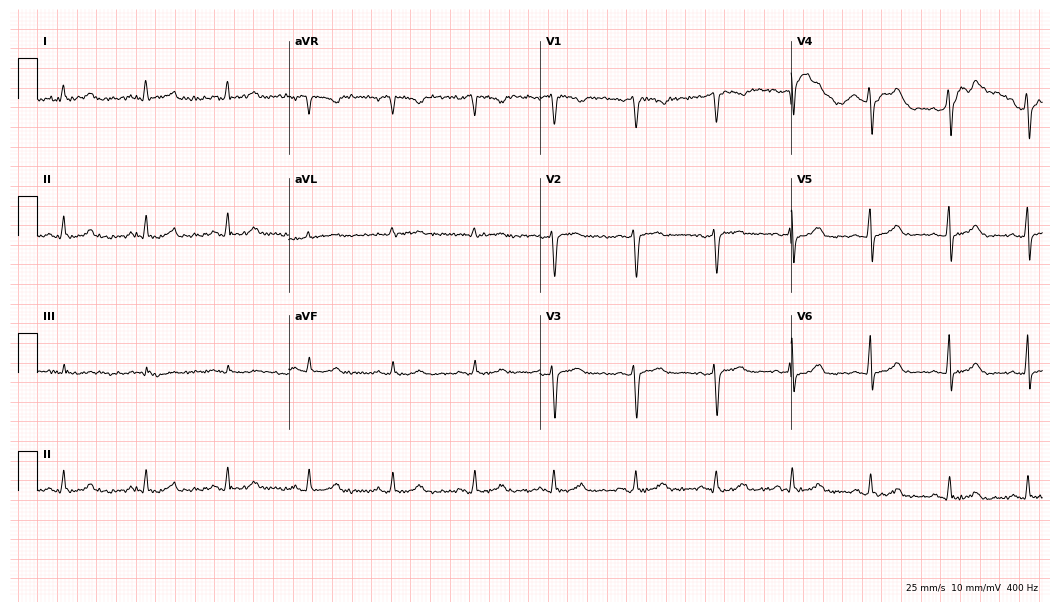
Electrocardiogram, a woman, 43 years old. Of the six screened findings (first-degree AV block, right bundle branch block (RBBB), left bundle branch block (LBBB), sinus bradycardia, atrial fibrillation (AF), sinus tachycardia), none is recorded.